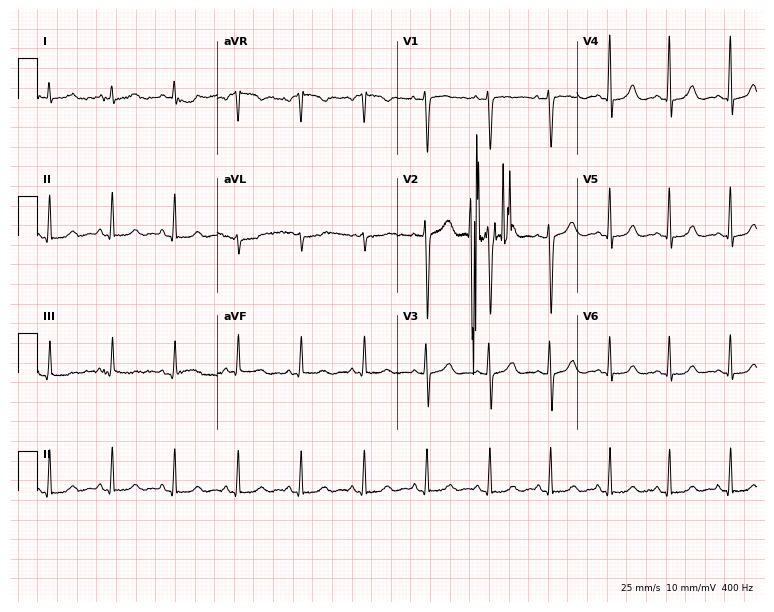
Standard 12-lead ECG recorded from a 28-year-old female patient. Read as a normal ECG.